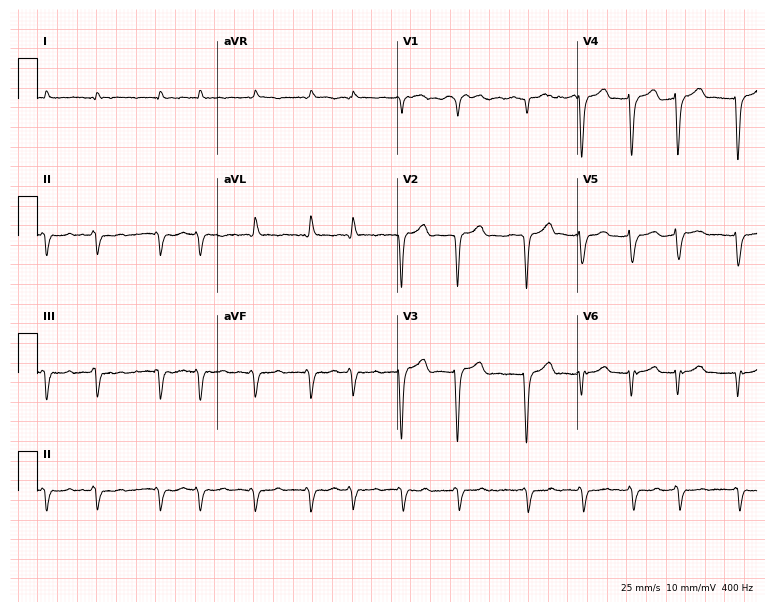
Resting 12-lead electrocardiogram (7.3-second recording at 400 Hz). Patient: an 85-year-old female. The tracing shows atrial fibrillation.